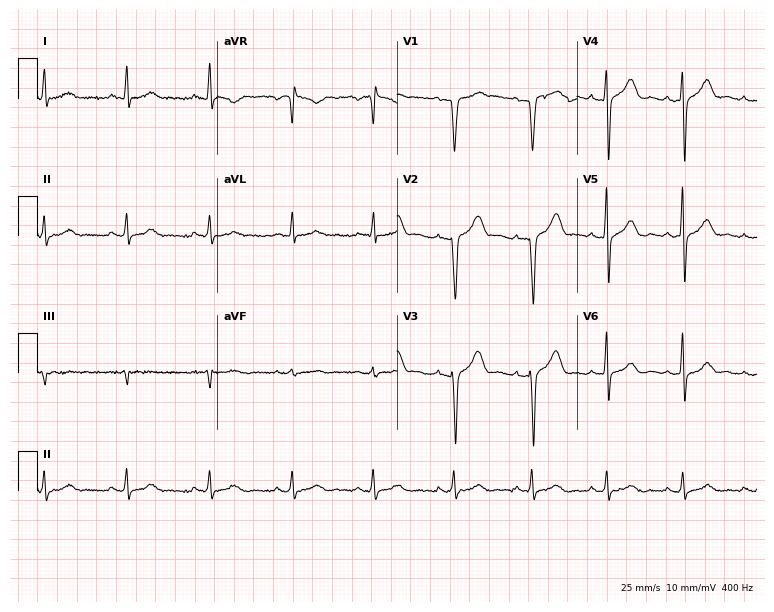
ECG (7.3-second recording at 400 Hz) — a male patient, 51 years old. Labelled as a normal ECG.